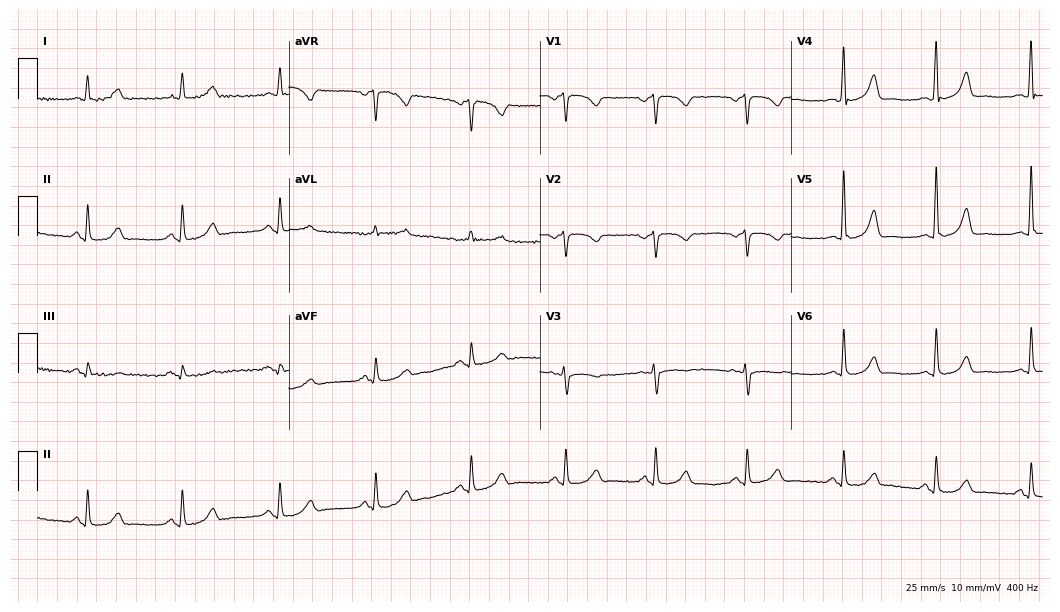
Electrocardiogram, a 75-year-old woman. Of the six screened findings (first-degree AV block, right bundle branch block, left bundle branch block, sinus bradycardia, atrial fibrillation, sinus tachycardia), none is recorded.